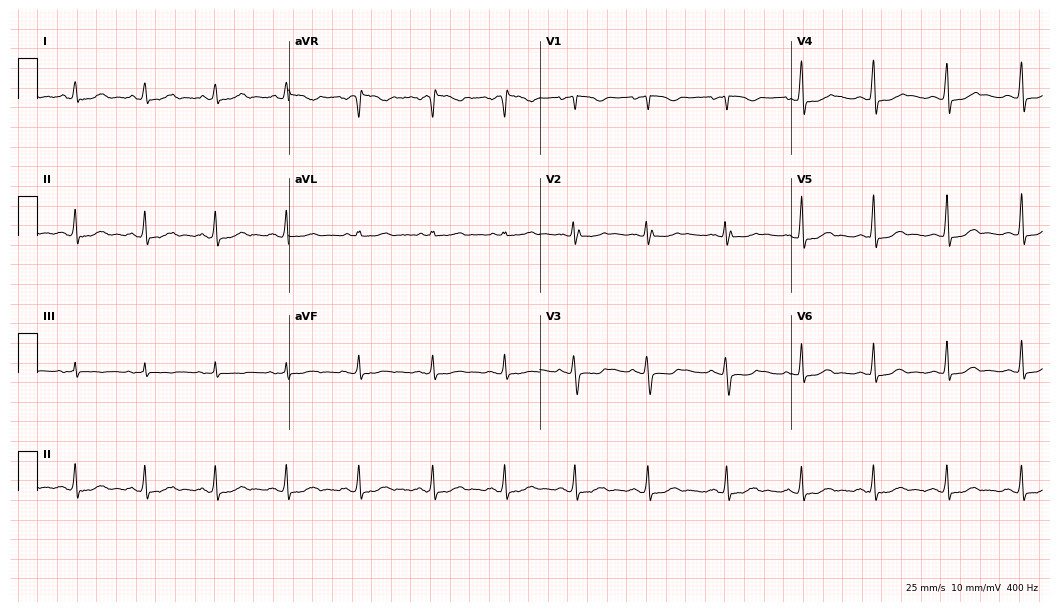
ECG — a female patient, 35 years old. Labelled as a normal ECG.